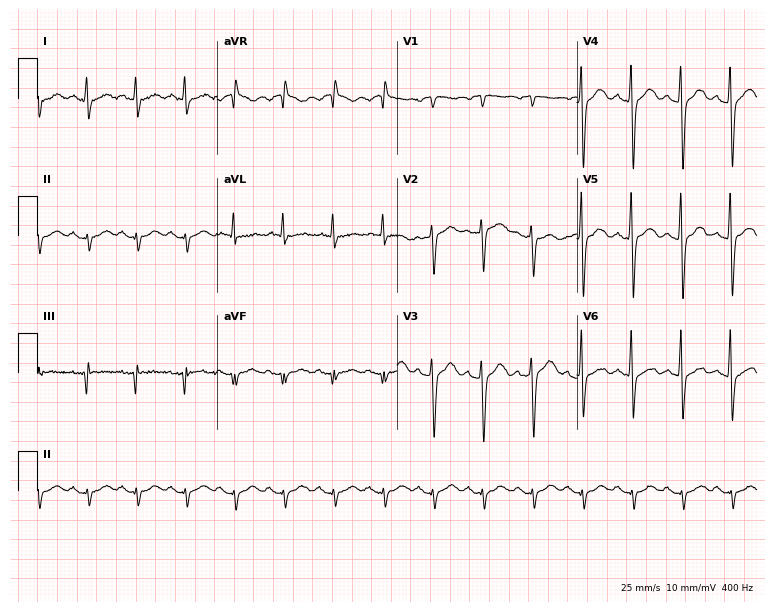
Resting 12-lead electrocardiogram. Patient: a 73-year-old male. The tracing shows sinus tachycardia (a sinus rate of 100 beats per minute or more).